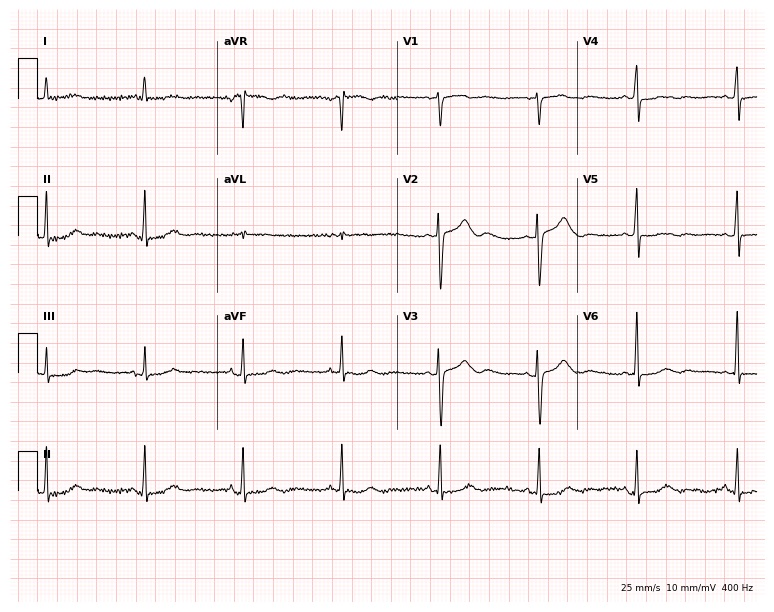
Standard 12-lead ECG recorded from a 76-year-old woman (7.3-second recording at 400 Hz). None of these six findings is recorded: first-degree AV block, right bundle branch block, left bundle branch block, sinus bradycardia, atrial fibrillation, sinus tachycardia.